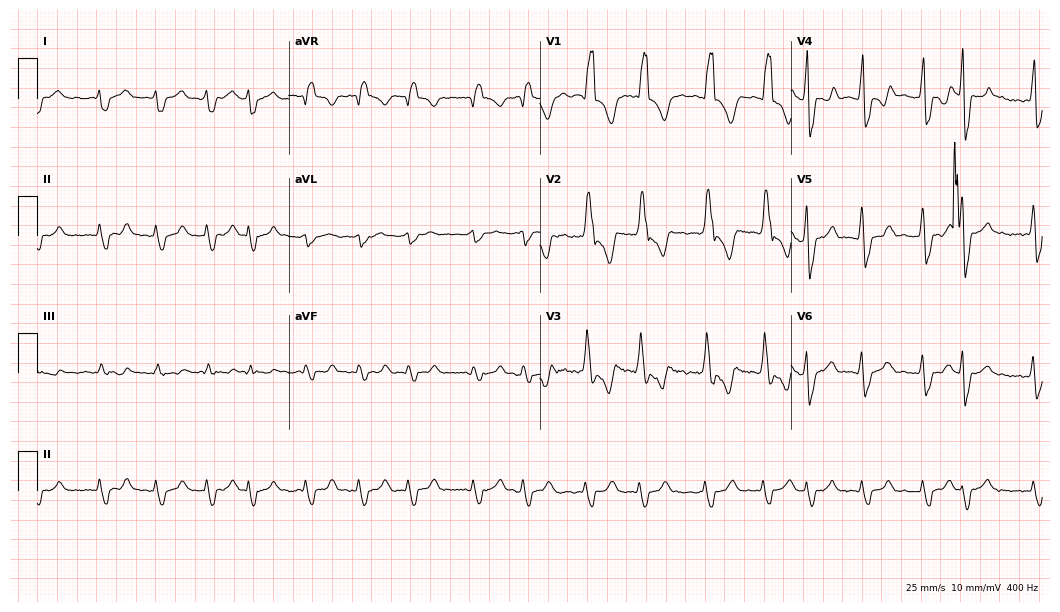
Electrocardiogram, a 60-year-old male. Interpretation includes right bundle branch block (RBBB), atrial fibrillation (AF).